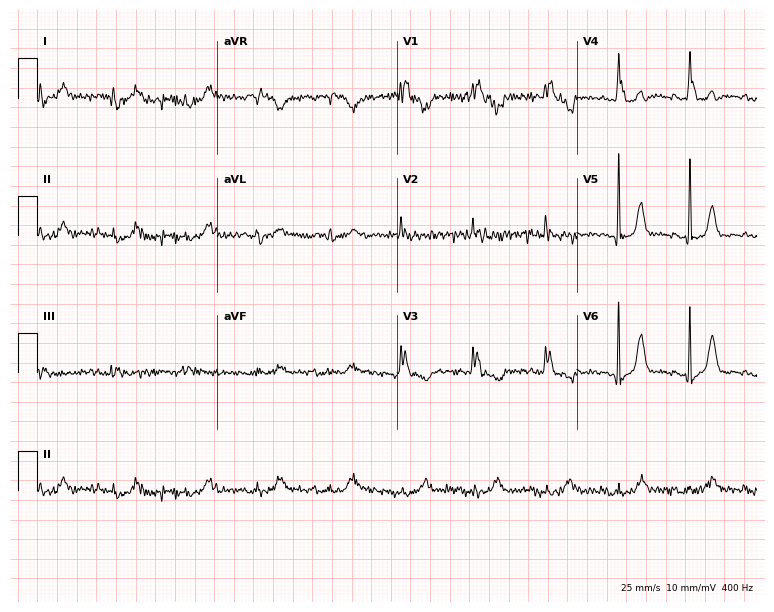
Standard 12-lead ECG recorded from a 74-year-old female (7.3-second recording at 400 Hz). None of these six findings is recorded: first-degree AV block, right bundle branch block, left bundle branch block, sinus bradycardia, atrial fibrillation, sinus tachycardia. Findings outside these six are not listed.